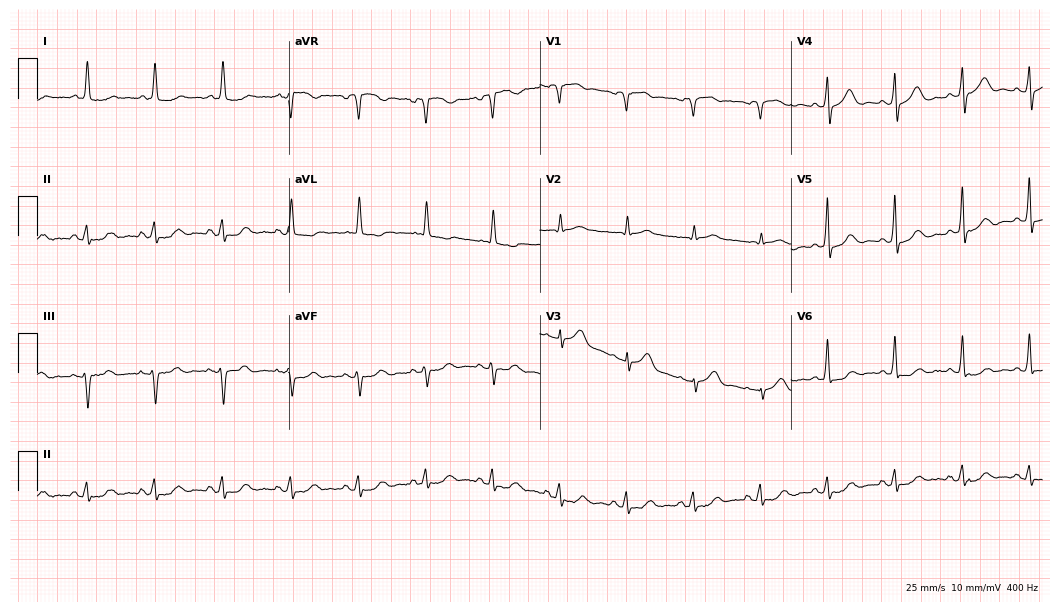
Electrocardiogram (10.2-second recording at 400 Hz), a man, 79 years old. Of the six screened findings (first-degree AV block, right bundle branch block, left bundle branch block, sinus bradycardia, atrial fibrillation, sinus tachycardia), none is recorded. Only these six findings were labelled.